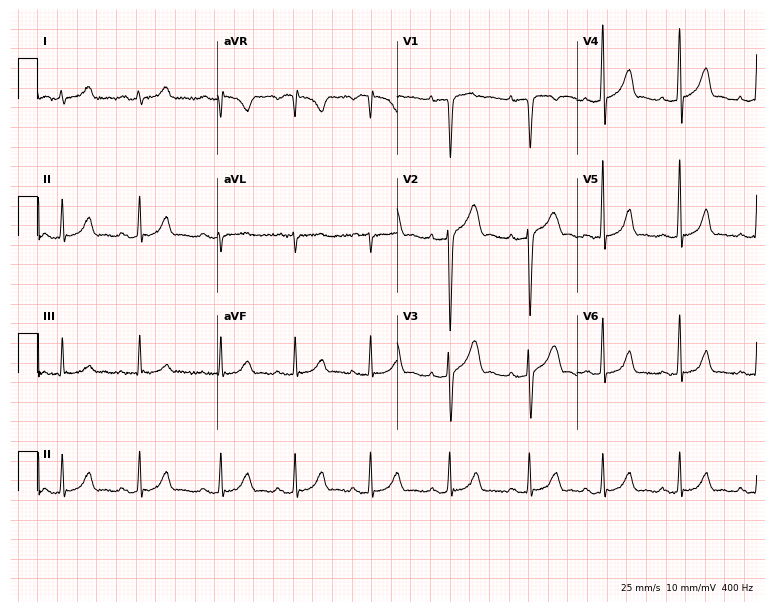
Standard 12-lead ECG recorded from a 19-year-old male patient (7.3-second recording at 400 Hz). None of these six findings is recorded: first-degree AV block, right bundle branch block, left bundle branch block, sinus bradycardia, atrial fibrillation, sinus tachycardia. Other findings, if any, are not listed.